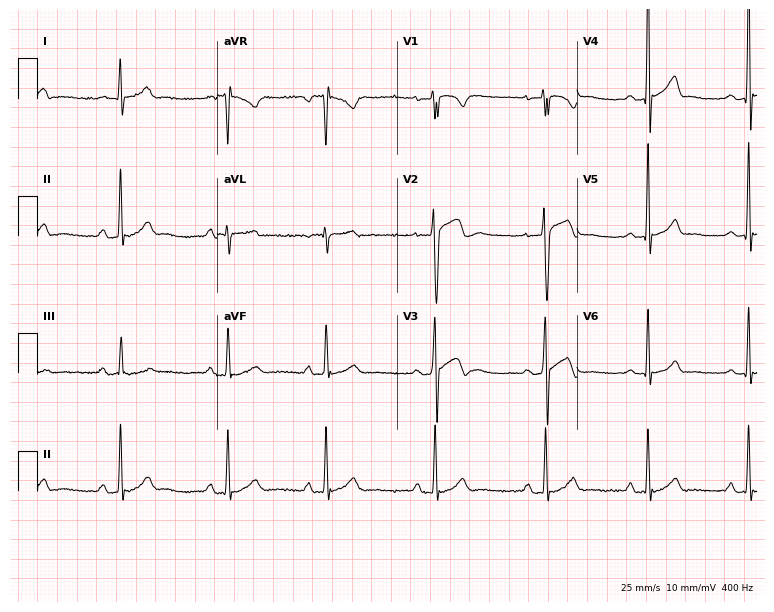
Standard 12-lead ECG recorded from a 22-year-old male. Read as a normal ECG.